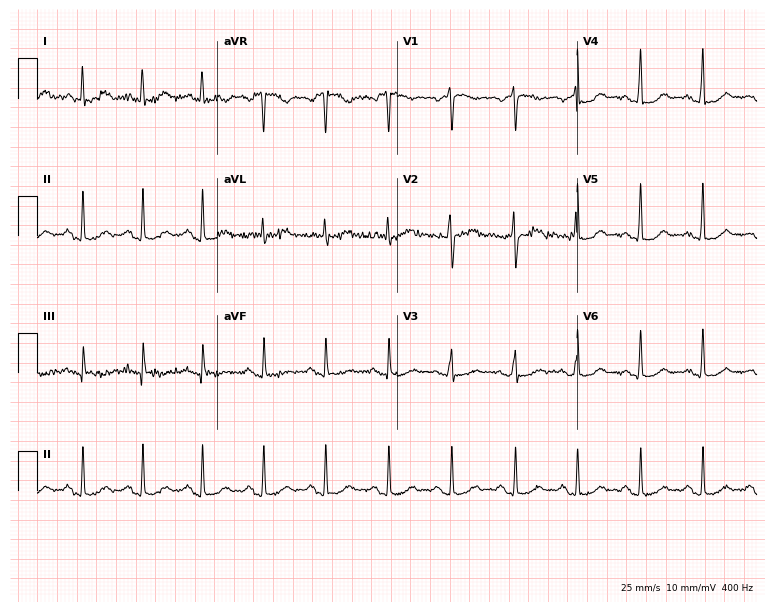
Standard 12-lead ECG recorded from a female patient, 59 years old (7.3-second recording at 400 Hz). None of these six findings is recorded: first-degree AV block, right bundle branch block, left bundle branch block, sinus bradycardia, atrial fibrillation, sinus tachycardia. Findings outside these six are not listed.